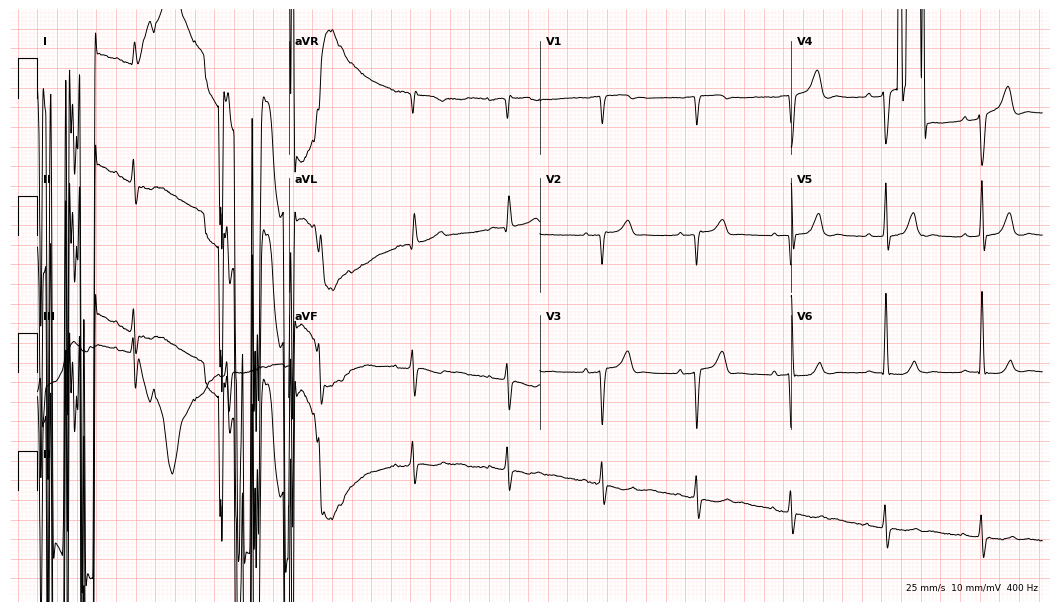
12-lead ECG from a man, 79 years old (10.2-second recording at 400 Hz). No first-degree AV block, right bundle branch block, left bundle branch block, sinus bradycardia, atrial fibrillation or sinus tachycardia recorded for this tracing. Other findings, if any, are not listed.